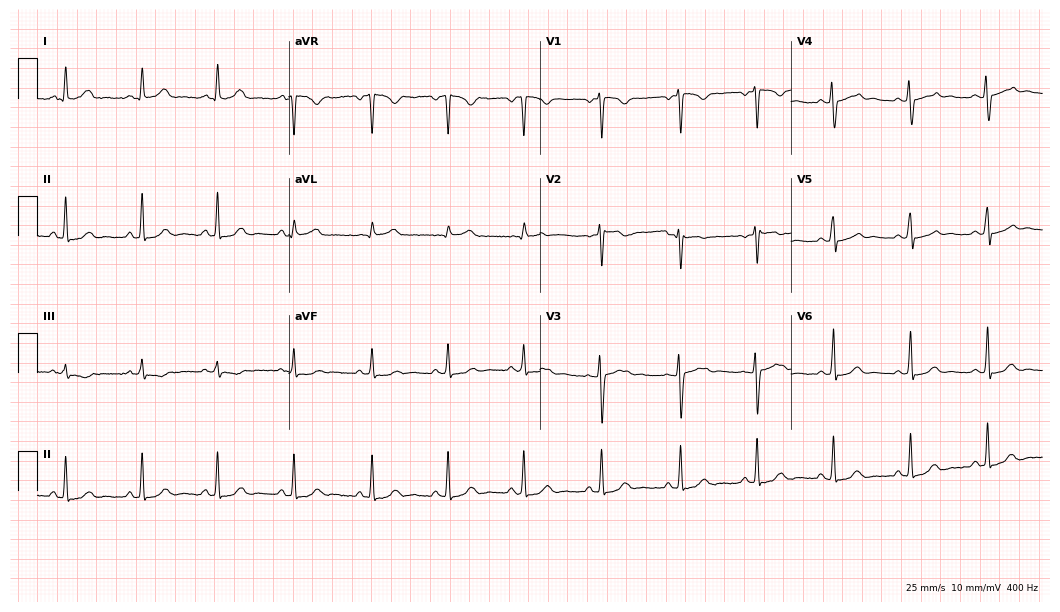
Standard 12-lead ECG recorded from a female, 27 years old (10.2-second recording at 400 Hz). None of these six findings is recorded: first-degree AV block, right bundle branch block, left bundle branch block, sinus bradycardia, atrial fibrillation, sinus tachycardia. Only these six findings were labelled.